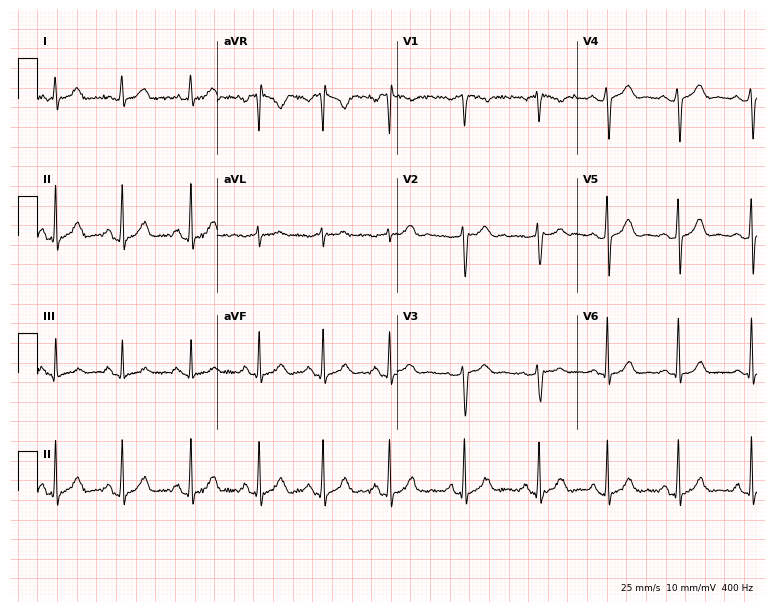
Electrocardiogram (7.3-second recording at 400 Hz), a female, 47 years old. Overall reading on record: normal ECG.